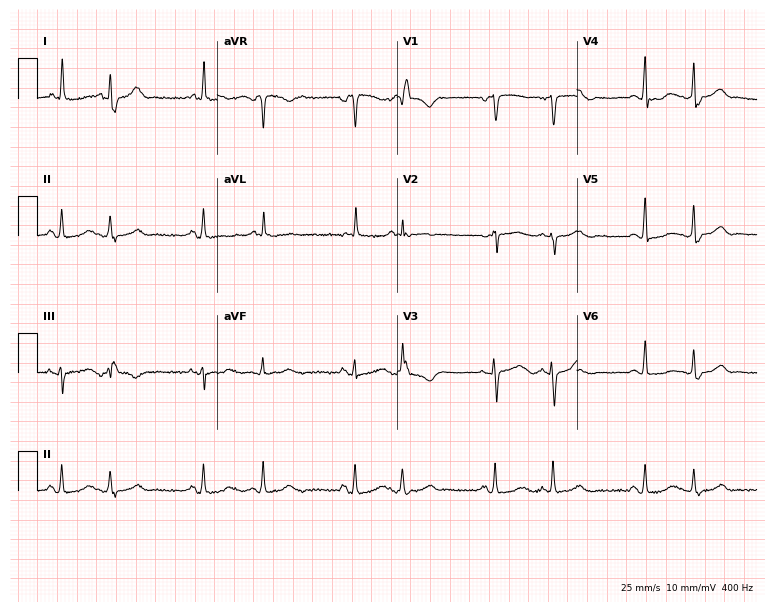
12-lead ECG from a female, 85 years old. Screened for six findings — first-degree AV block, right bundle branch block, left bundle branch block, sinus bradycardia, atrial fibrillation, sinus tachycardia — none is recorded.